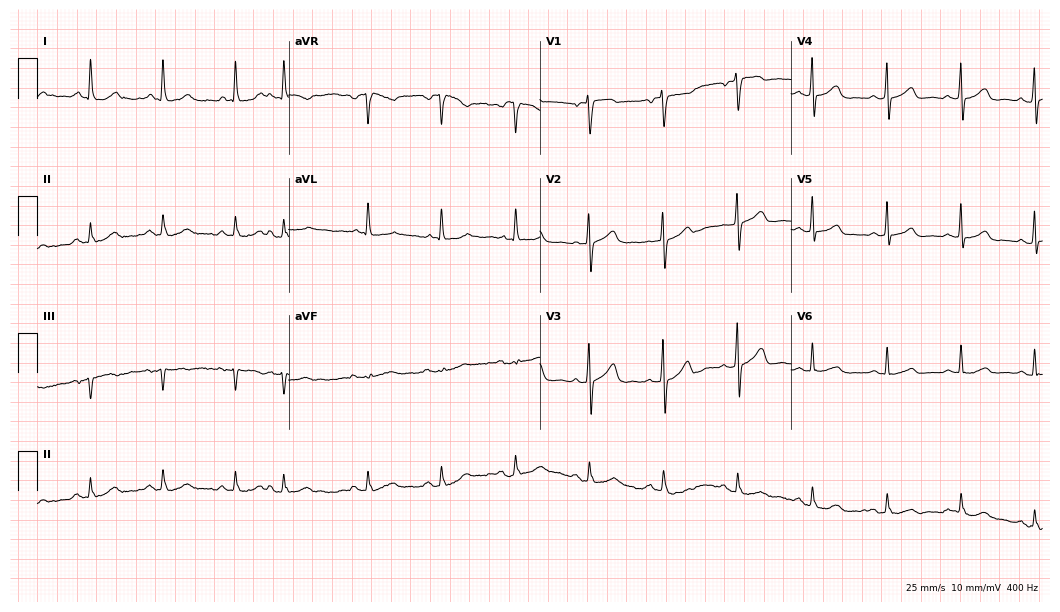
Electrocardiogram, a 74-year-old male patient. Of the six screened findings (first-degree AV block, right bundle branch block, left bundle branch block, sinus bradycardia, atrial fibrillation, sinus tachycardia), none is recorded.